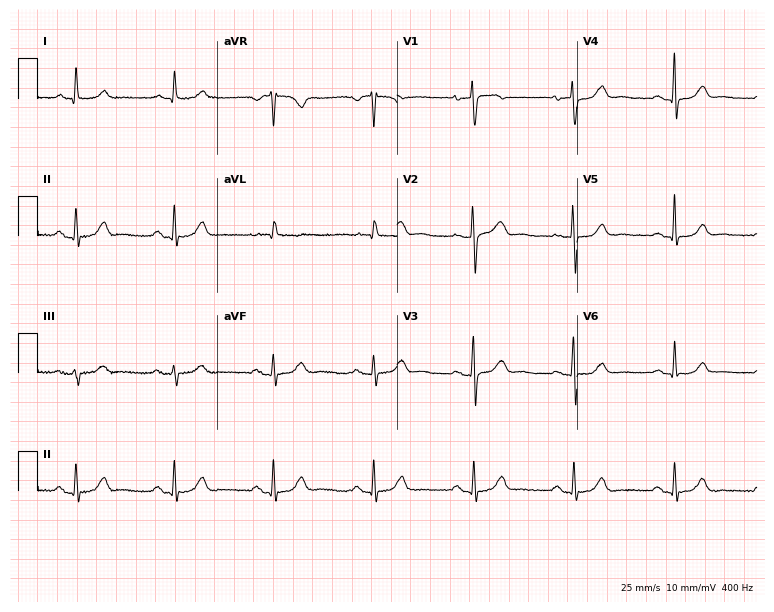
Electrocardiogram (7.3-second recording at 400 Hz), a 66-year-old woman. Overall reading on record: normal ECG.